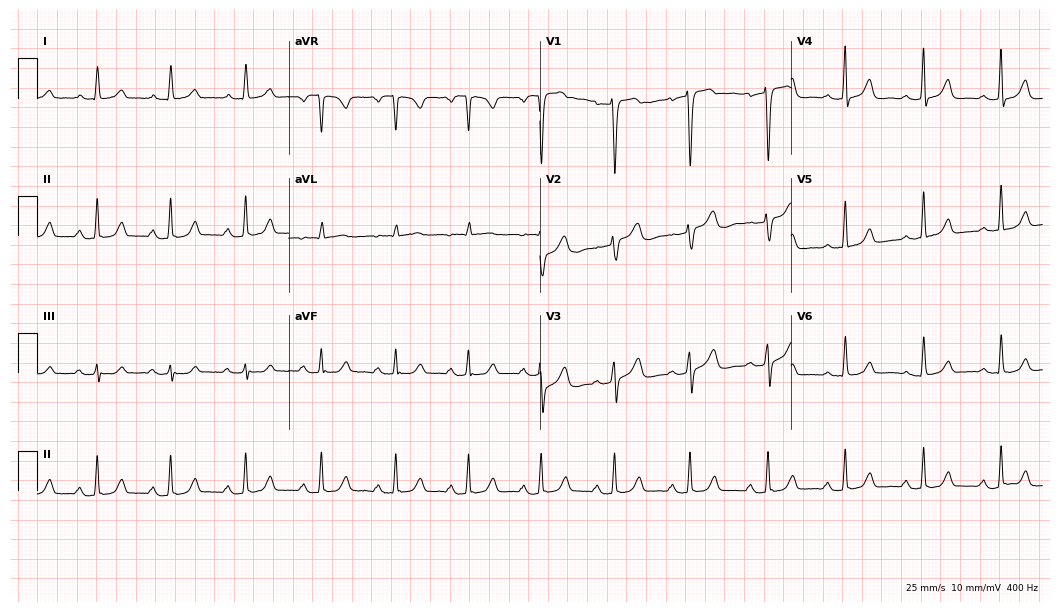
Standard 12-lead ECG recorded from a 55-year-old woman. None of these six findings is recorded: first-degree AV block, right bundle branch block (RBBB), left bundle branch block (LBBB), sinus bradycardia, atrial fibrillation (AF), sinus tachycardia. Other findings, if any, are not listed.